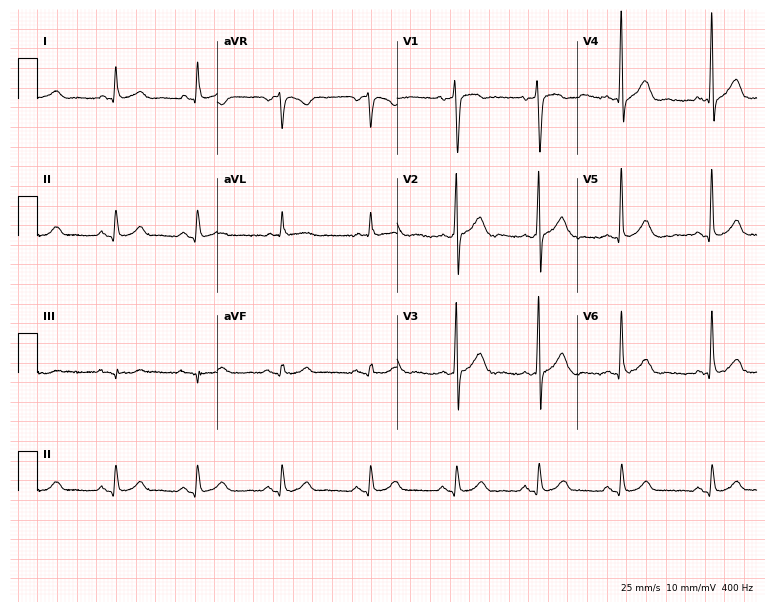
ECG — a male patient, 61 years old. Labelled as a normal ECG.